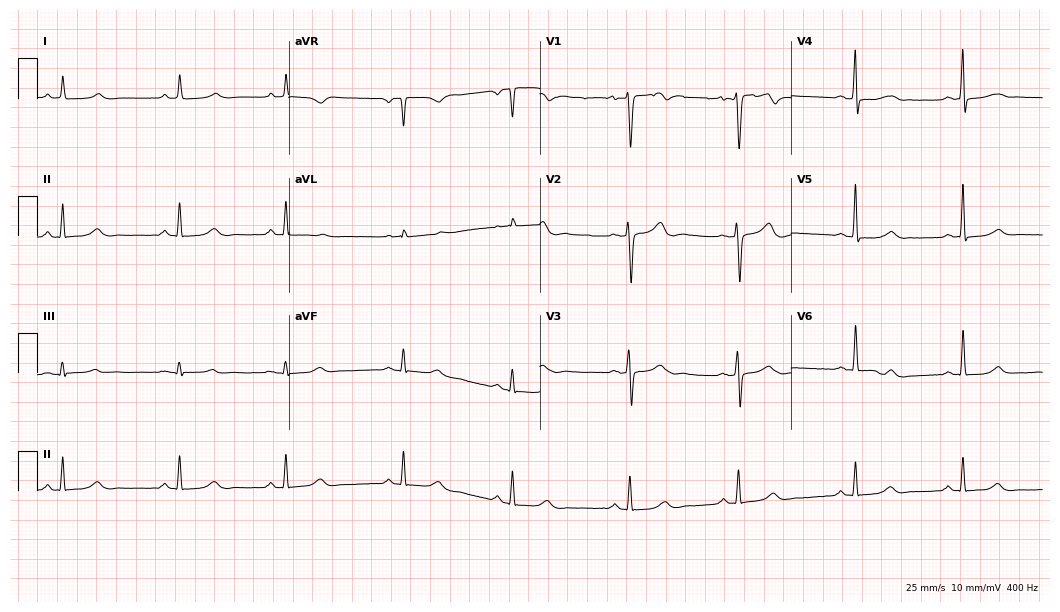
12-lead ECG from a woman, 44 years old. Screened for six findings — first-degree AV block, right bundle branch block, left bundle branch block, sinus bradycardia, atrial fibrillation, sinus tachycardia — none is recorded.